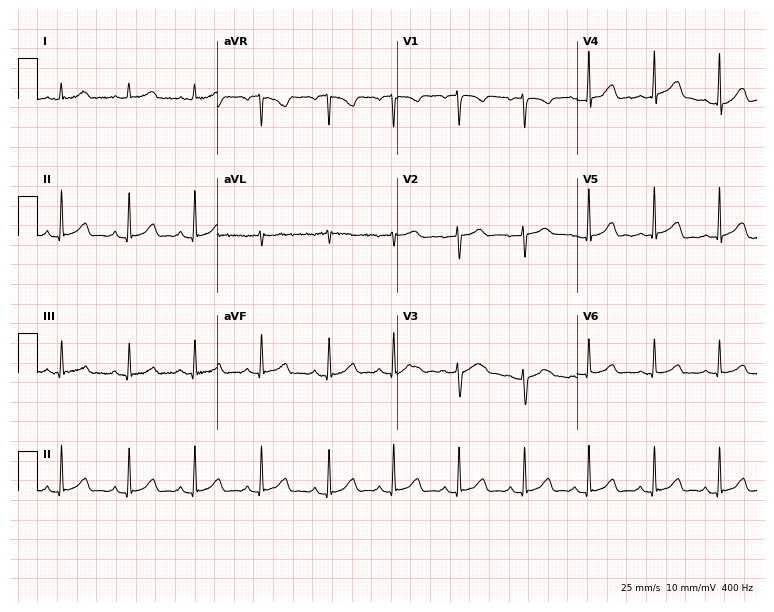
Electrocardiogram, a 36-year-old woman. Overall reading on record: normal ECG.